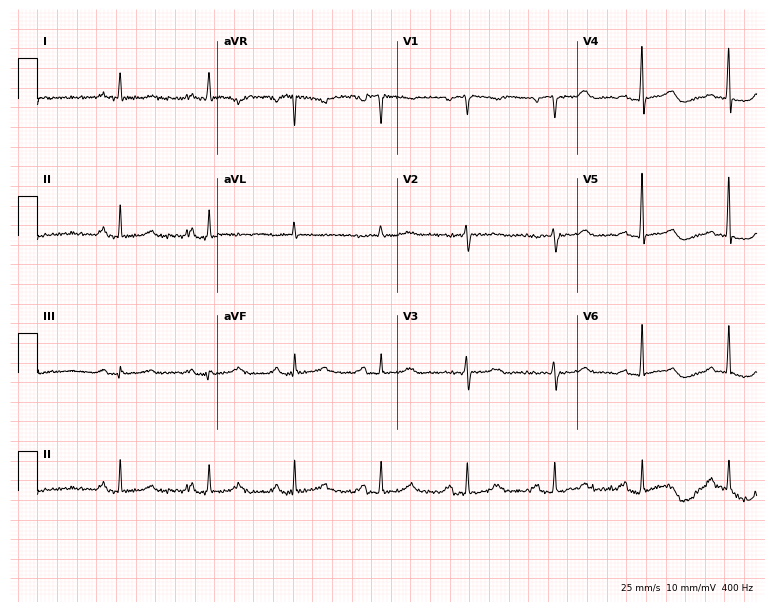
ECG — a woman, 62 years old. Labelled as a normal ECG.